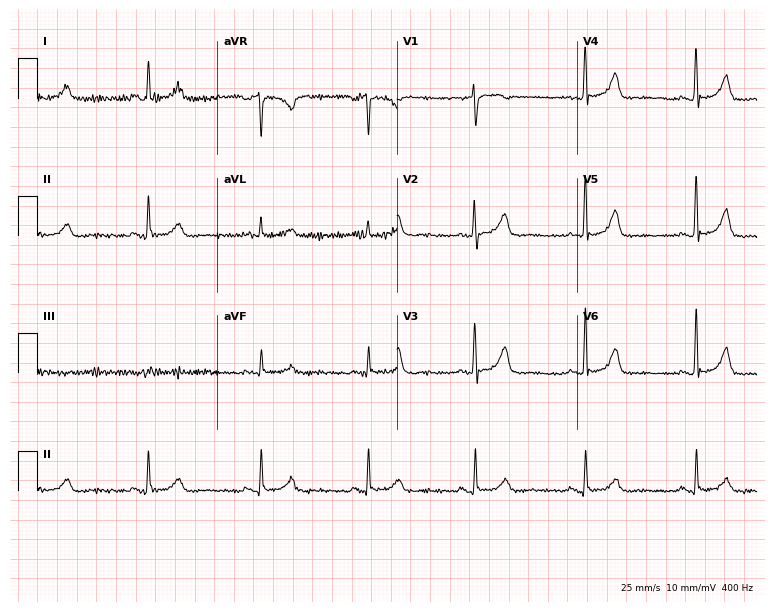
ECG (7.3-second recording at 400 Hz) — a woman, 74 years old. Screened for six findings — first-degree AV block, right bundle branch block, left bundle branch block, sinus bradycardia, atrial fibrillation, sinus tachycardia — none is recorded.